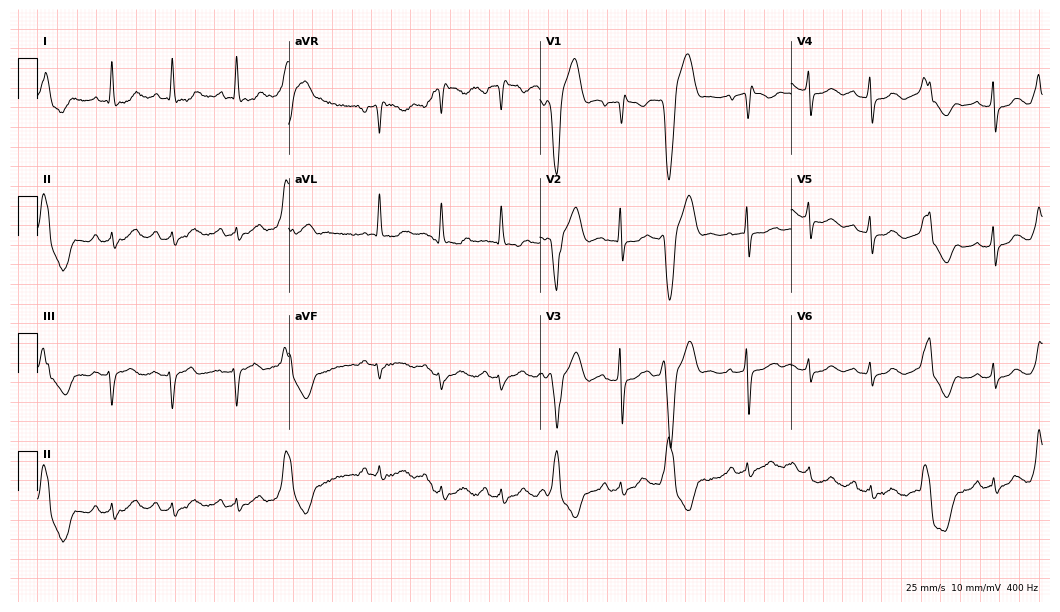
Standard 12-lead ECG recorded from a 43-year-old female patient. None of these six findings is recorded: first-degree AV block, right bundle branch block (RBBB), left bundle branch block (LBBB), sinus bradycardia, atrial fibrillation (AF), sinus tachycardia. Only these six findings were labelled.